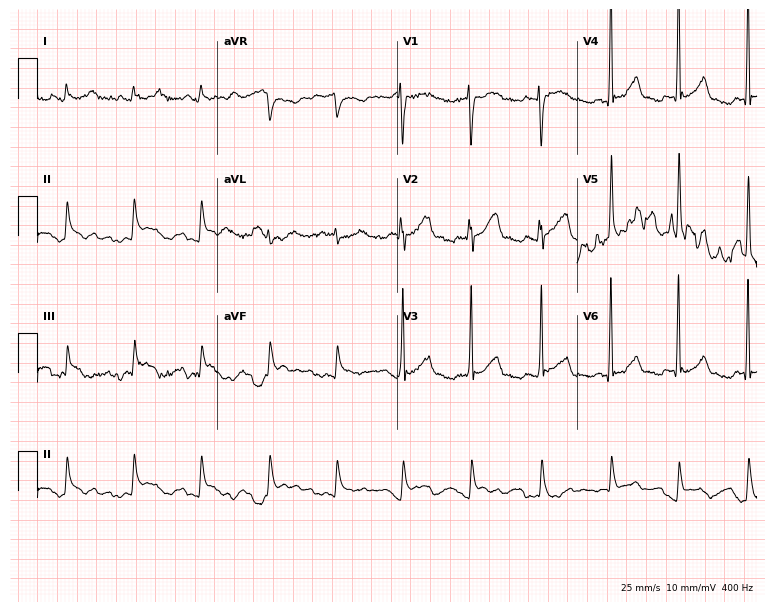
Resting 12-lead electrocardiogram. Patient: a 28-year-old female. None of these six findings is recorded: first-degree AV block, right bundle branch block, left bundle branch block, sinus bradycardia, atrial fibrillation, sinus tachycardia.